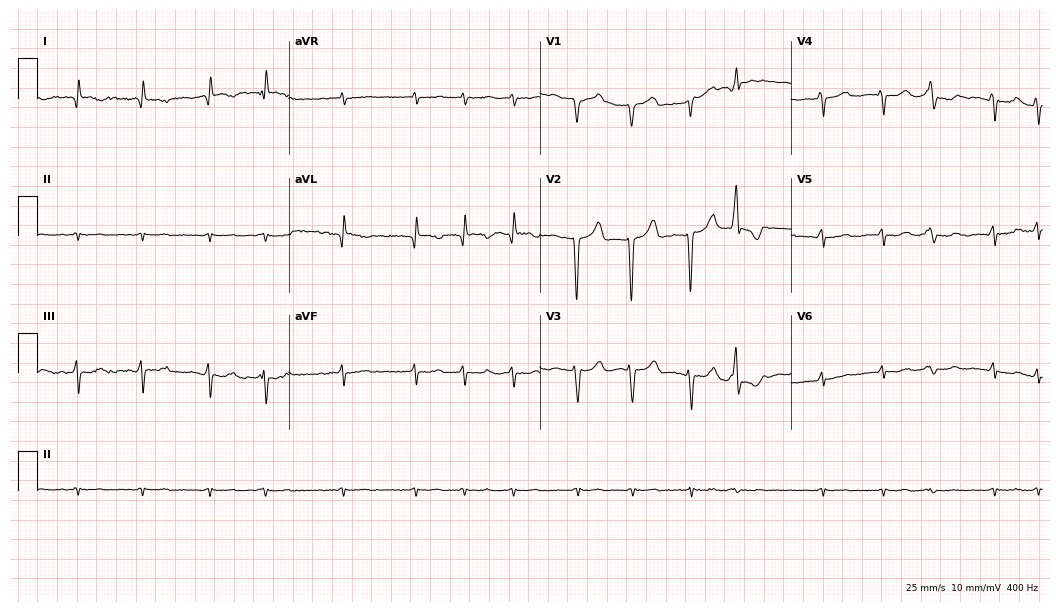
ECG (10.2-second recording at 400 Hz) — a male patient, 69 years old. Findings include atrial fibrillation.